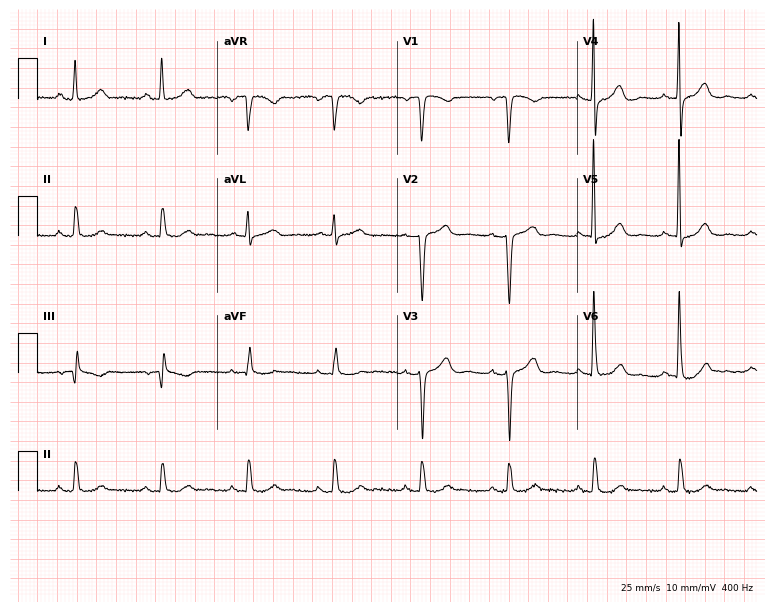
ECG — a 69-year-old woman. Screened for six findings — first-degree AV block, right bundle branch block (RBBB), left bundle branch block (LBBB), sinus bradycardia, atrial fibrillation (AF), sinus tachycardia — none is recorded. Only these six findings were labelled.